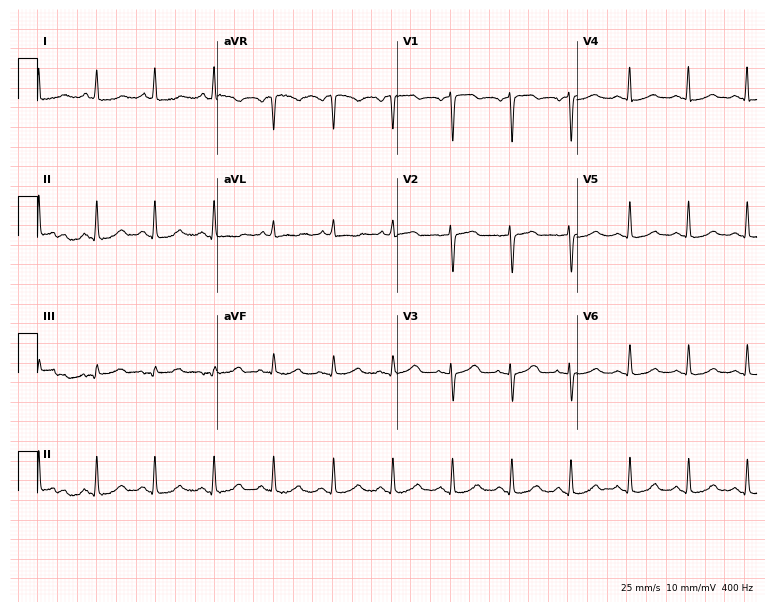
Electrocardiogram (7.3-second recording at 400 Hz), a female, 58 years old. Of the six screened findings (first-degree AV block, right bundle branch block (RBBB), left bundle branch block (LBBB), sinus bradycardia, atrial fibrillation (AF), sinus tachycardia), none is recorded. Other findings, if any, are not listed.